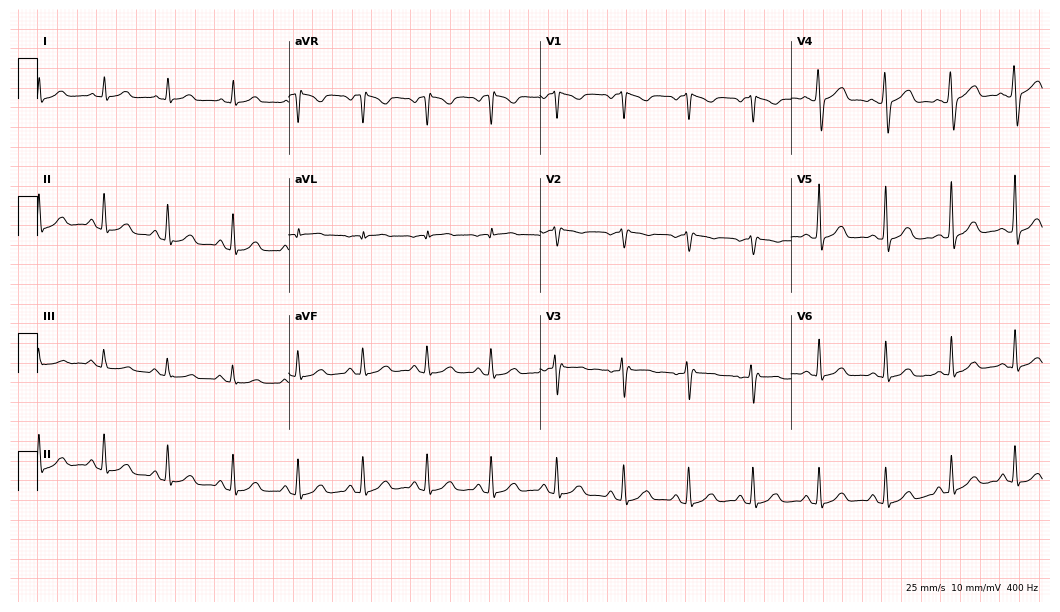
ECG (10.2-second recording at 400 Hz) — a 46-year-old woman. Labelled as a normal ECG.